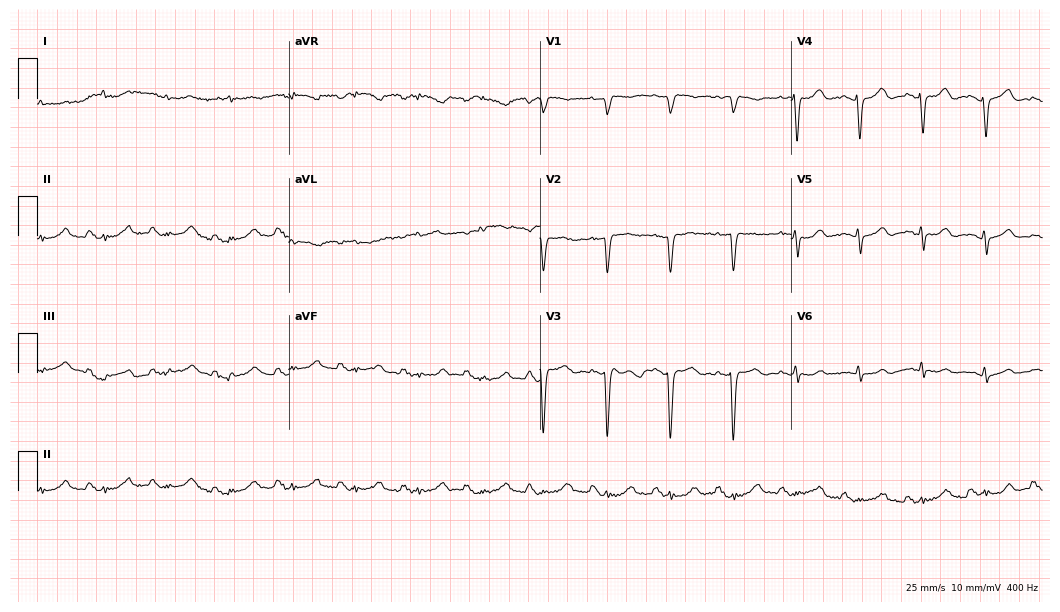
ECG — a 73-year-old man. Screened for six findings — first-degree AV block, right bundle branch block (RBBB), left bundle branch block (LBBB), sinus bradycardia, atrial fibrillation (AF), sinus tachycardia — none is recorded.